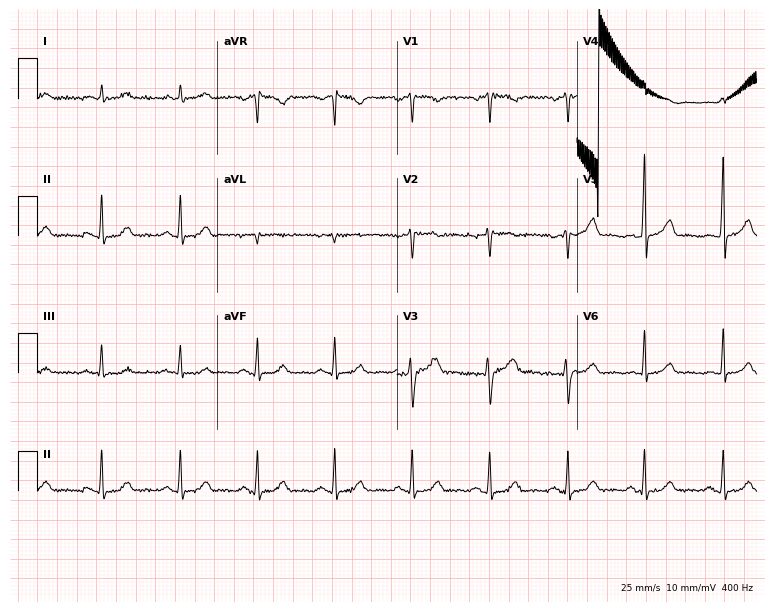
Standard 12-lead ECG recorded from a 41-year-old male patient (7.3-second recording at 400 Hz). None of these six findings is recorded: first-degree AV block, right bundle branch block (RBBB), left bundle branch block (LBBB), sinus bradycardia, atrial fibrillation (AF), sinus tachycardia. Findings outside these six are not listed.